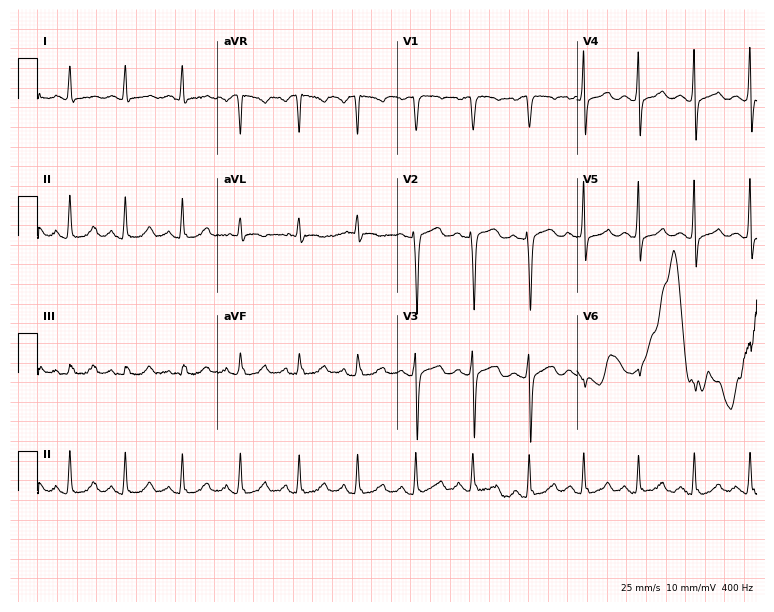
12-lead ECG (7.3-second recording at 400 Hz) from a man, 56 years old. Findings include sinus tachycardia (a sinus rate of 100 beats per minute or more).